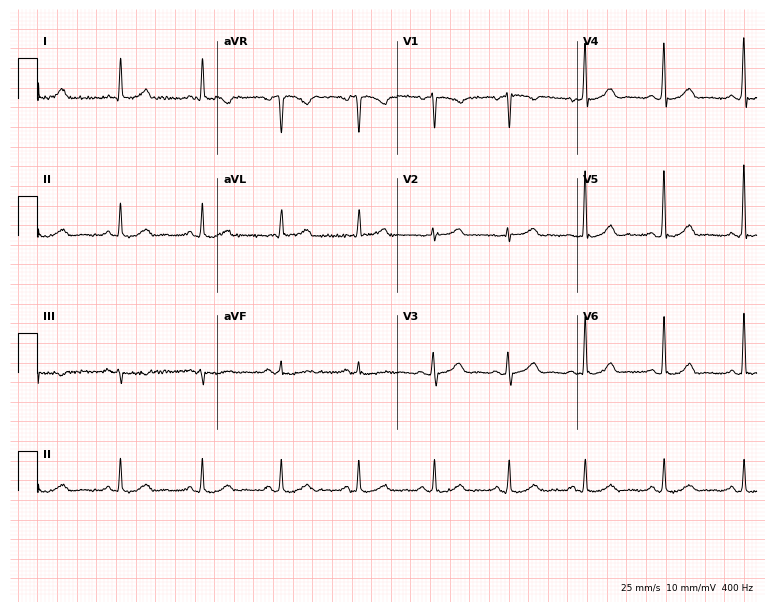
Standard 12-lead ECG recorded from a 52-year-old woman (7.3-second recording at 400 Hz). Read as a normal ECG.